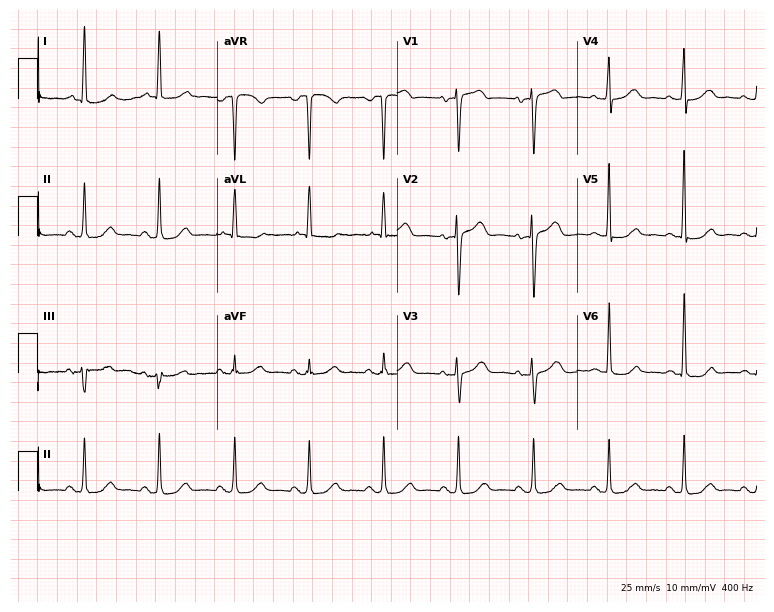
Resting 12-lead electrocardiogram (7.3-second recording at 400 Hz). Patient: a 75-year-old female. Read as a normal ECG.